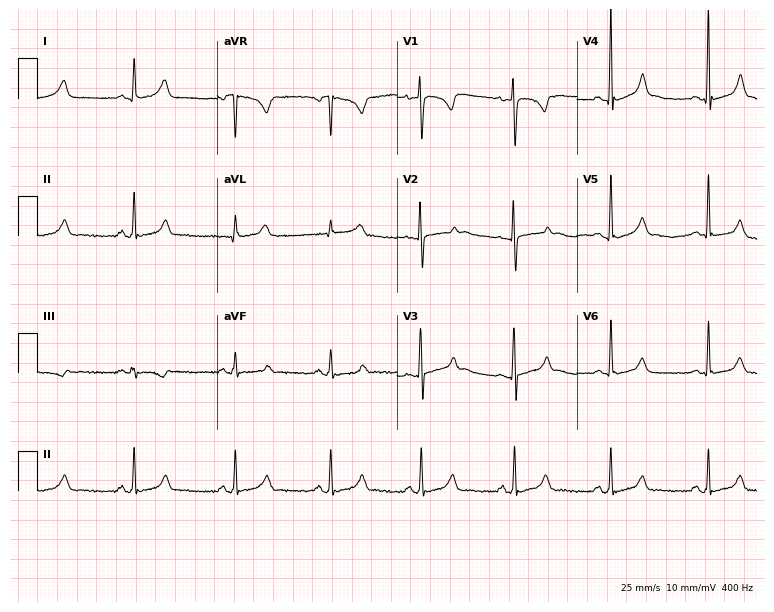
Standard 12-lead ECG recorded from a female patient, 31 years old (7.3-second recording at 400 Hz). Read as a normal ECG.